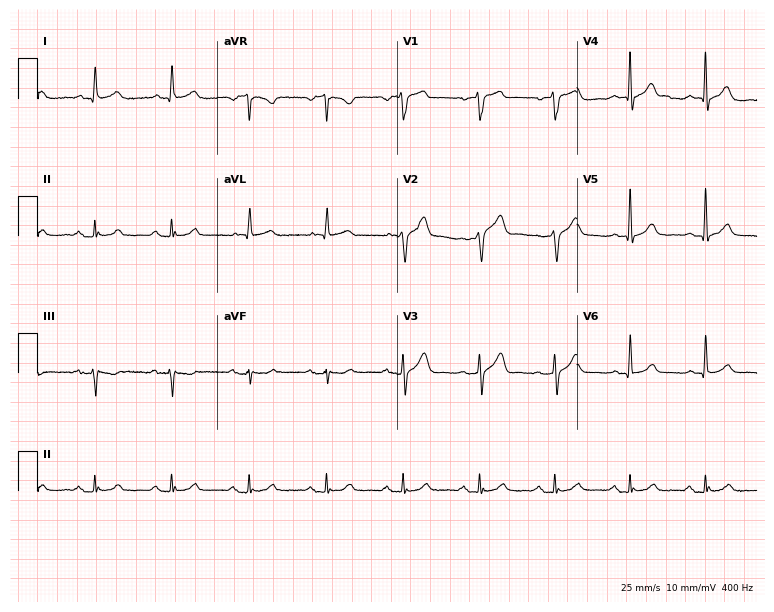
ECG (7.3-second recording at 400 Hz) — a male, 66 years old. Labelled as a normal ECG.